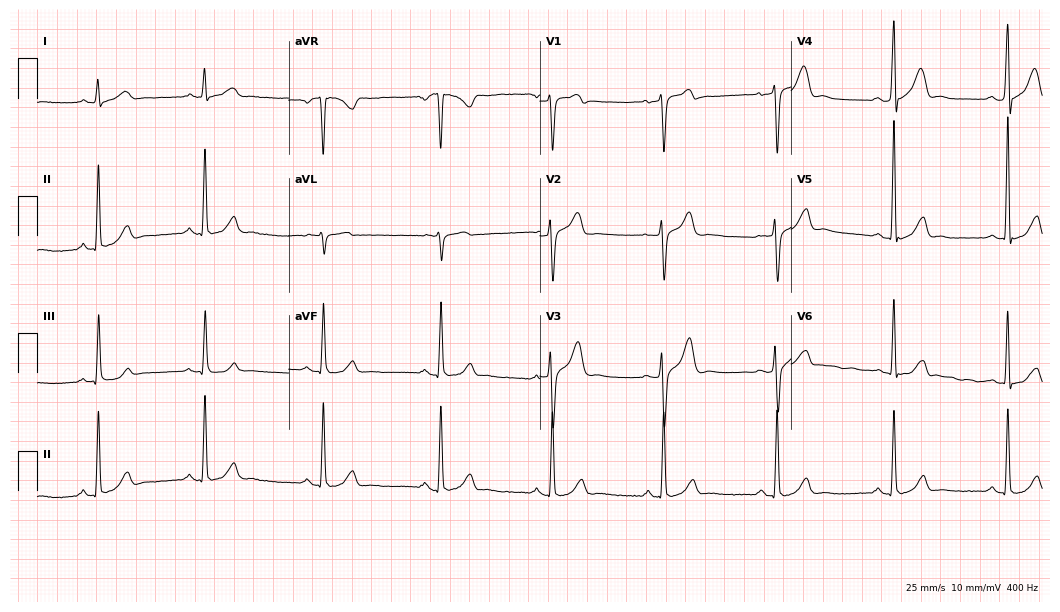
12-lead ECG from a man, 35 years old. No first-degree AV block, right bundle branch block, left bundle branch block, sinus bradycardia, atrial fibrillation or sinus tachycardia recorded for this tracing. Findings outside these six are not listed.